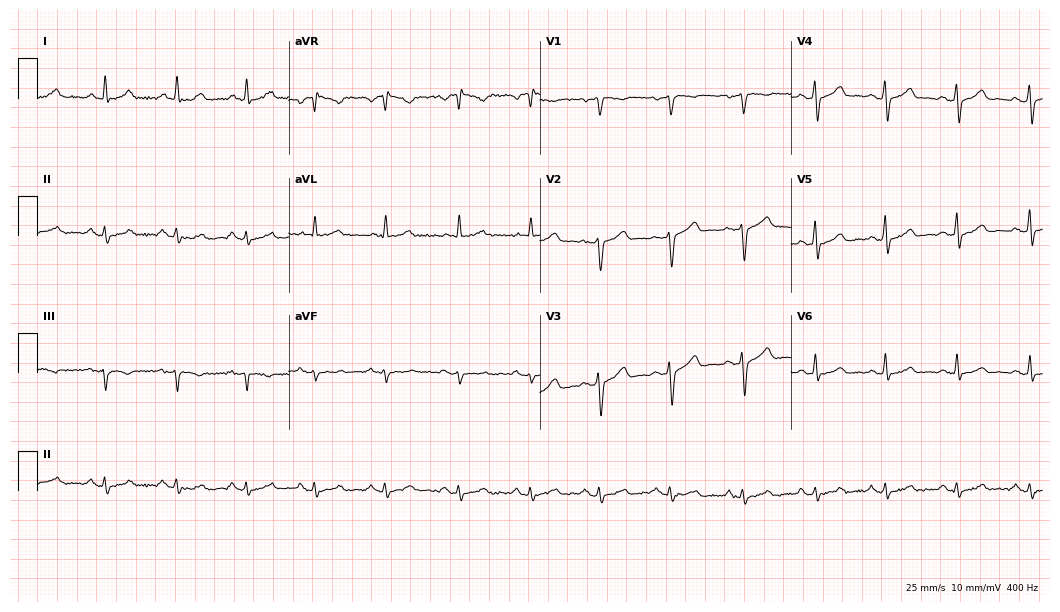
12-lead ECG from a male, 52 years old (10.2-second recording at 400 Hz). Recorded interpretation: within normal limits.